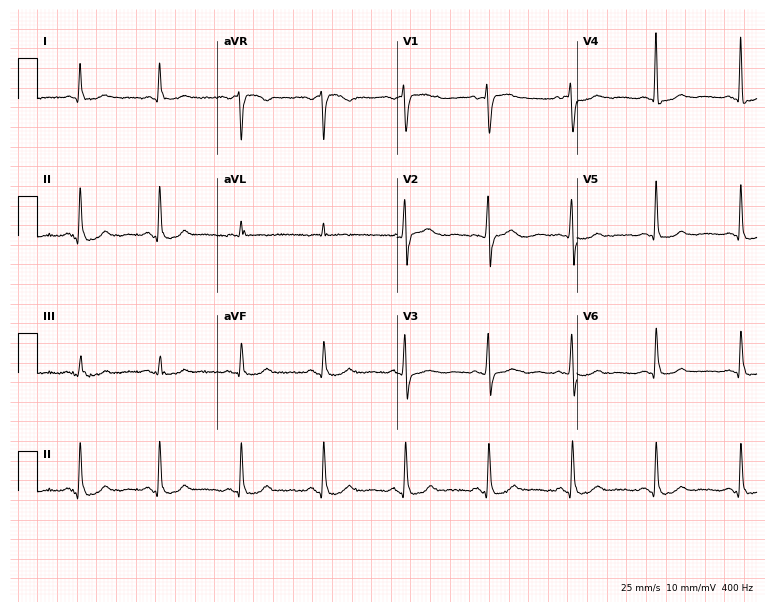
ECG (7.3-second recording at 400 Hz) — a woman, 68 years old. Labelled as a normal ECG.